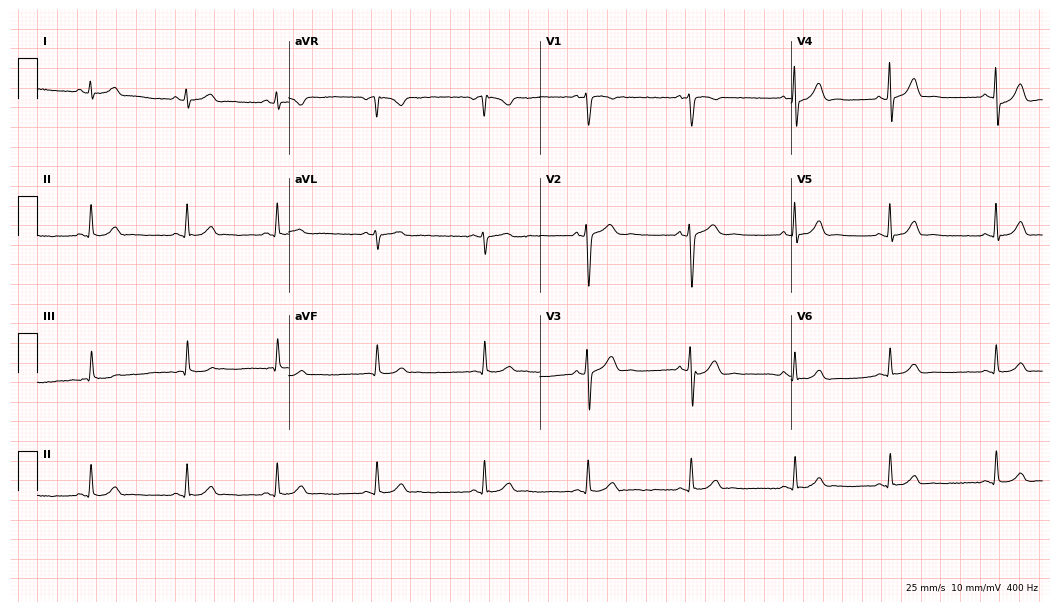
12-lead ECG from a female patient, 28 years old. No first-degree AV block, right bundle branch block, left bundle branch block, sinus bradycardia, atrial fibrillation or sinus tachycardia recorded for this tracing. Only these six findings were labelled.